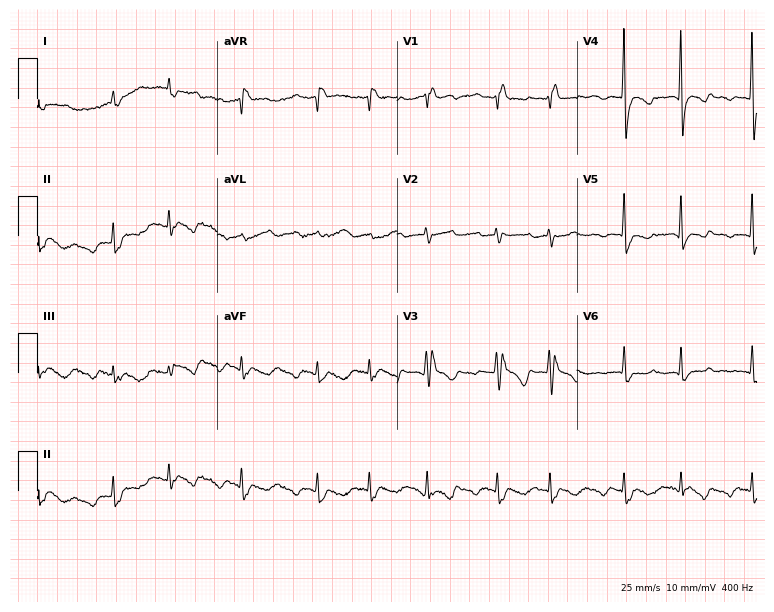
12-lead ECG from a woman, 80 years old. Shows right bundle branch block (RBBB).